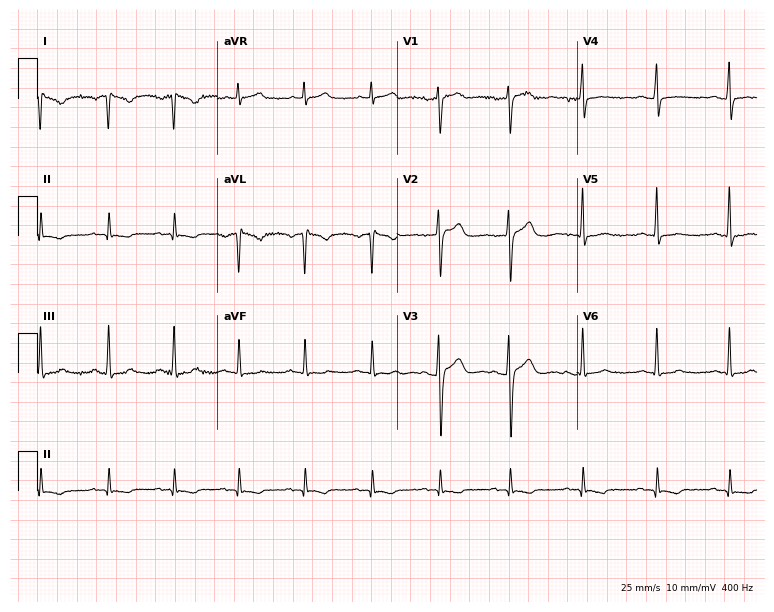
12-lead ECG (7.3-second recording at 400 Hz) from a female patient, 37 years old. Screened for six findings — first-degree AV block, right bundle branch block, left bundle branch block, sinus bradycardia, atrial fibrillation, sinus tachycardia — none is recorded.